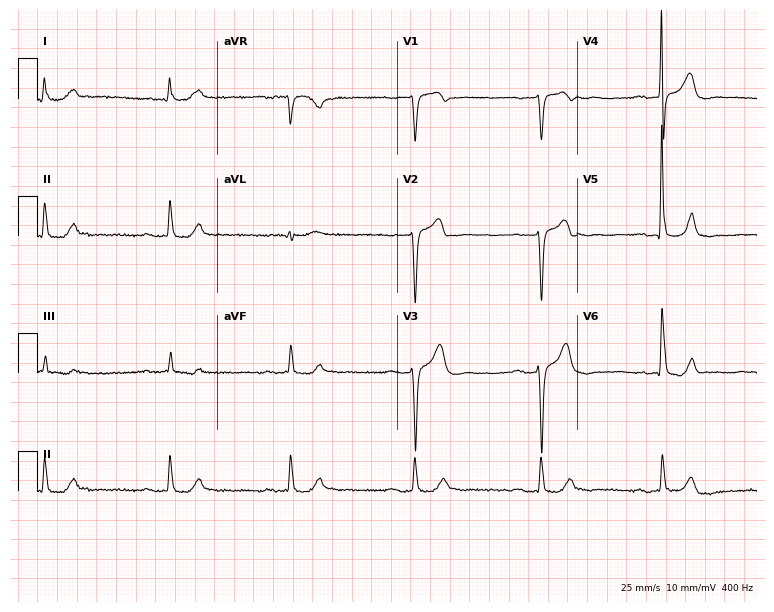
Standard 12-lead ECG recorded from a 69-year-old male. The tracing shows first-degree AV block, sinus bradycardia (a sinus rate of 50 beats per minute or less).